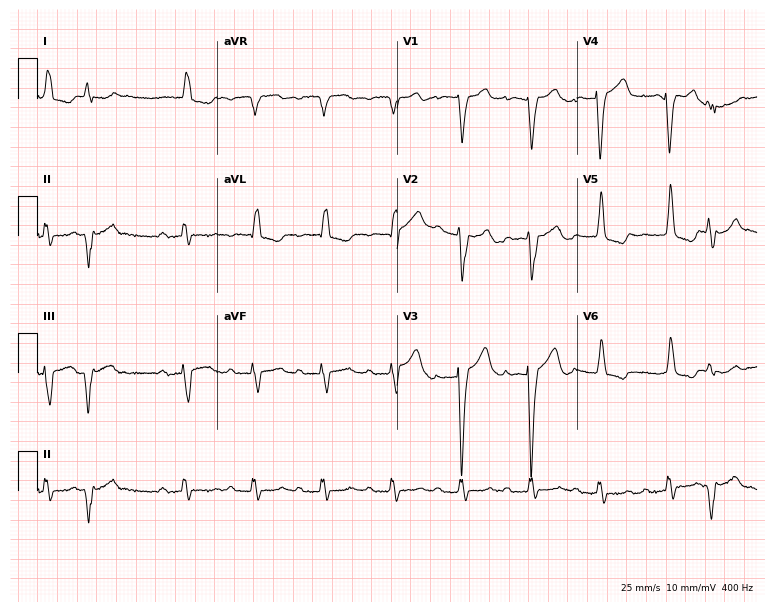
ECG (7.3-second recording at 400 Hz) — a woman, 80 years old. Findings include first-degree AV block, left bundle branch block.